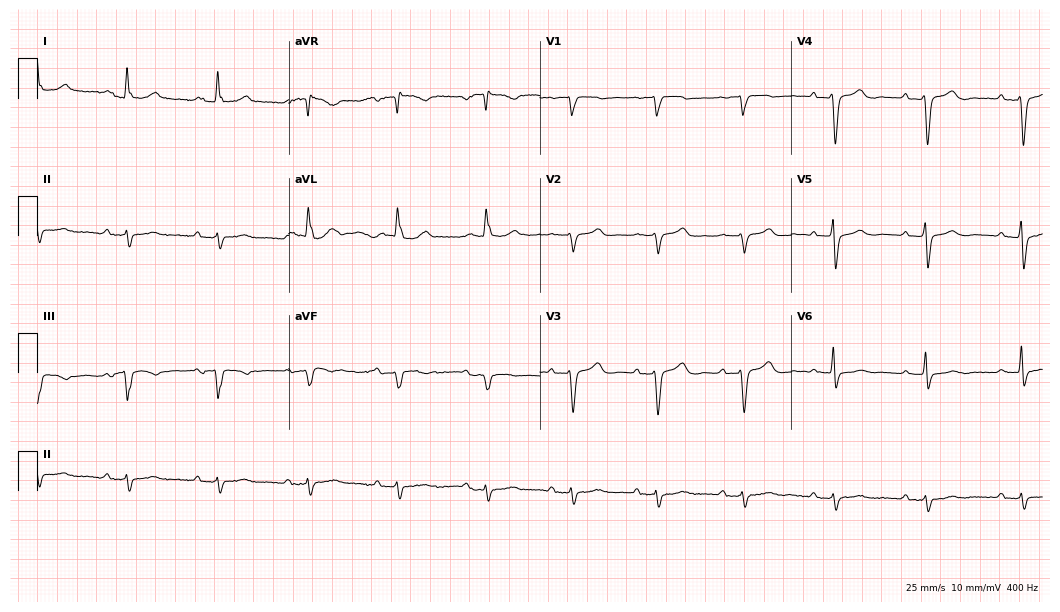
12-lead ECG from a male, 85 years old. No first-degree AV block, right bundle branch block (RBBB), left bundle branch block (LBBB), sinus bradycardia, atrial fibrillation (AF) or sinus tachycardia recorded for this tracing. Only these six findings were labelled.